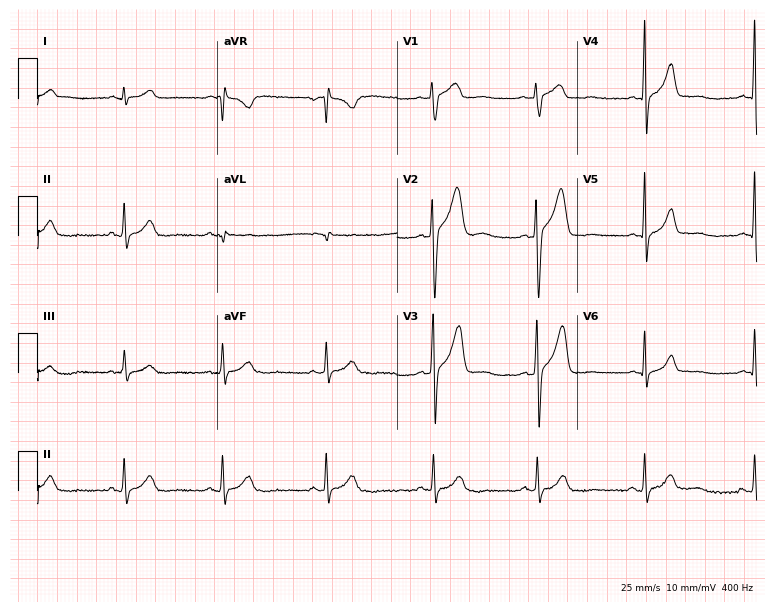
12-lead ECG from a 46-year-old male (7.3-second recording at 400 Hz). No first-degree AV block, right bundle branch block, left bundle branch block, sinus bradycardia, atrial fibrillation or sinus tachycardia recorded for this tracing.